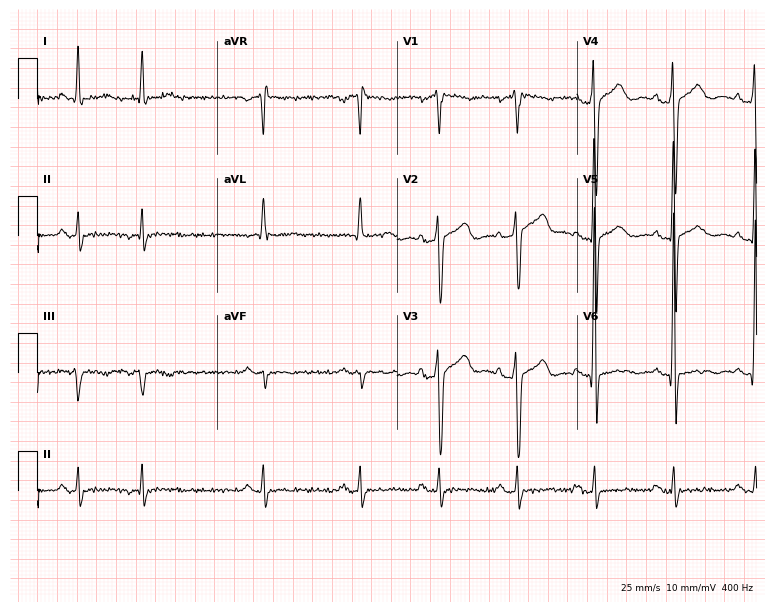
12-lead ECG from a man, 73 years old (7.3-second recording at 400 Hz). No first-degree AV block, right bundle branch block, left bundle branch block, sinus bradycardia, atrial fibrillation or sinus tachycardia recorded for this tracing.